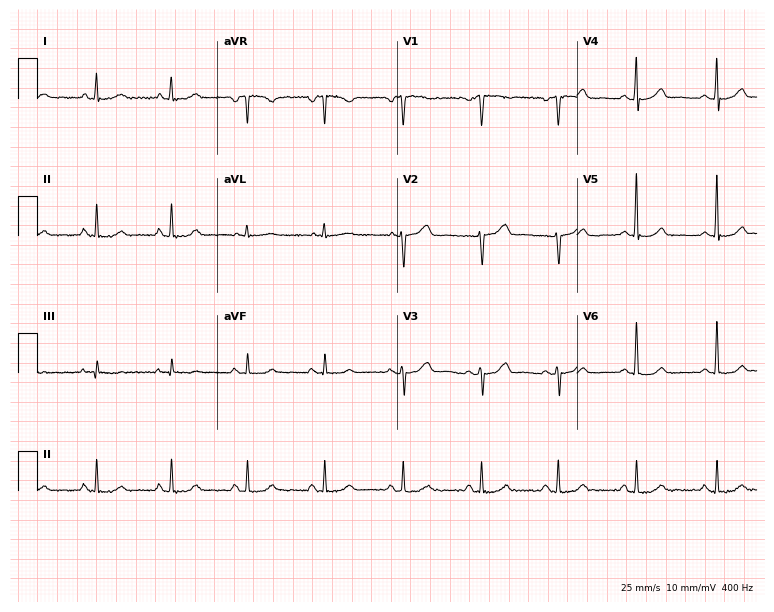
Resting 12-lead electrocardiogram. Patient: a 49-year-old female. Read as a normal ECG.